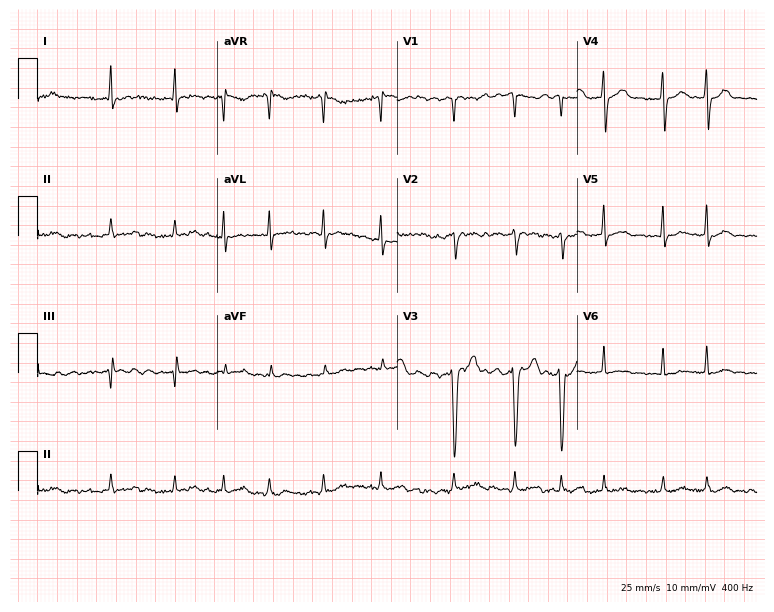
Standard 12-lead ECG recorded from a 77-year-old male patient. The tracing shows atrial fibrillation.